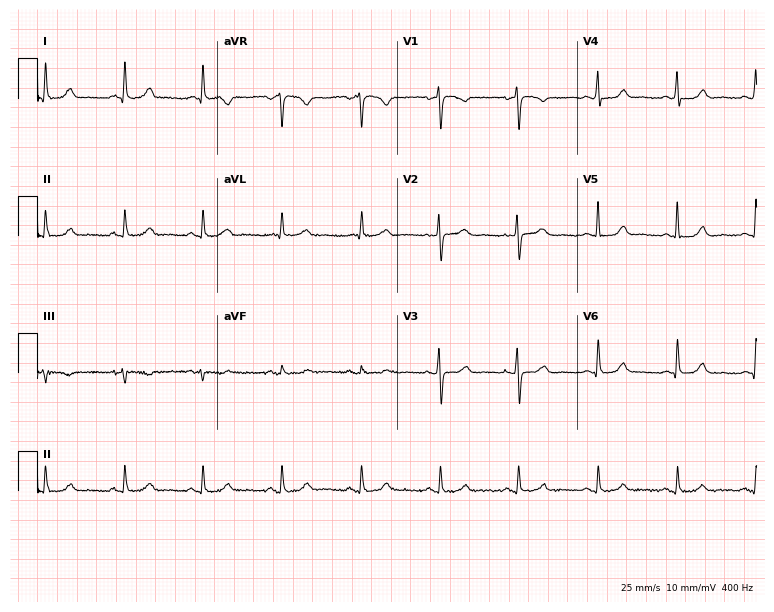
ECG — a female patient, 55 years old. Labelled as a normal ECG.